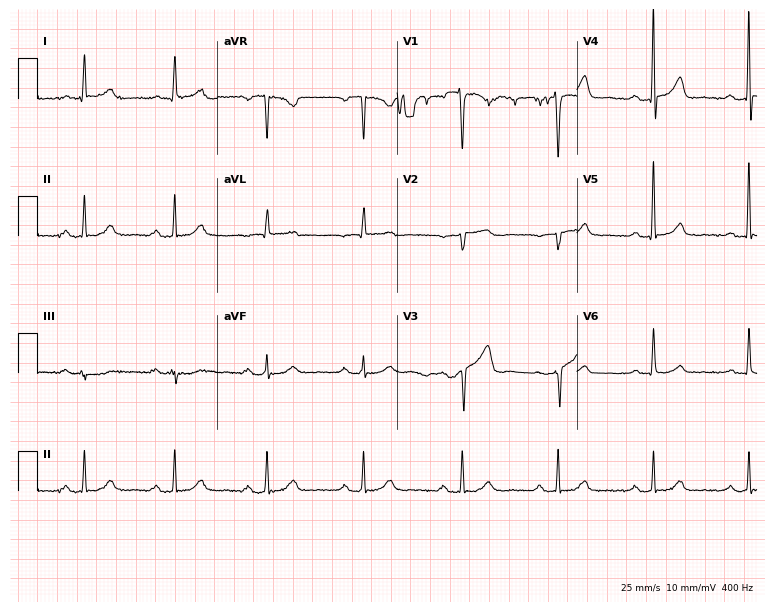
12-lead ECG from a 65-year-old man (7.3-second recording at 400 Hz). No first-degree AV block, right bundle branch block, left bundle branch block, sinus bradycardia, atrial fibrillation or sinus tachycardia recorded for this tracing.